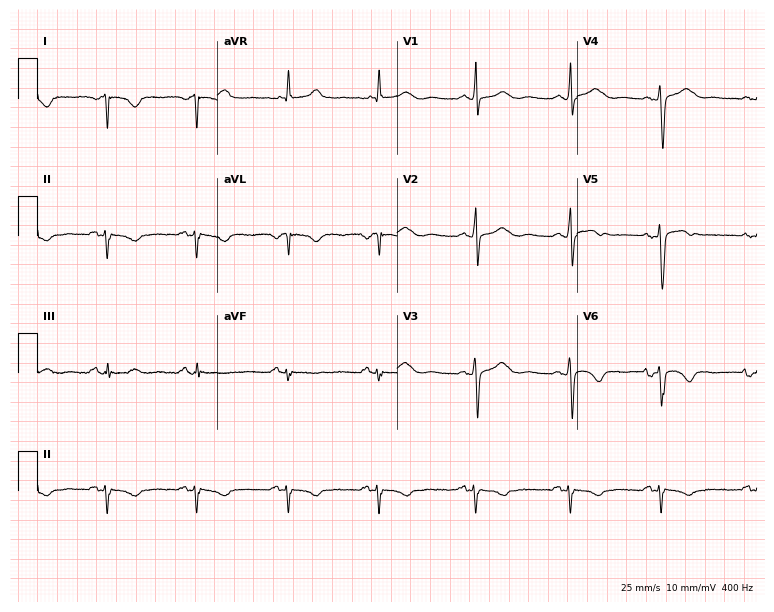
12-lead ECG from a 64-year-old female patient (7.3-second recording at 400 Hz). No first-degree AV block, right bundle branch block, left bundle branch block, sinus bradycardia, atrial fibrillation or sinus tachycardia recorded for this tracing. Findings outside these six are not listed.